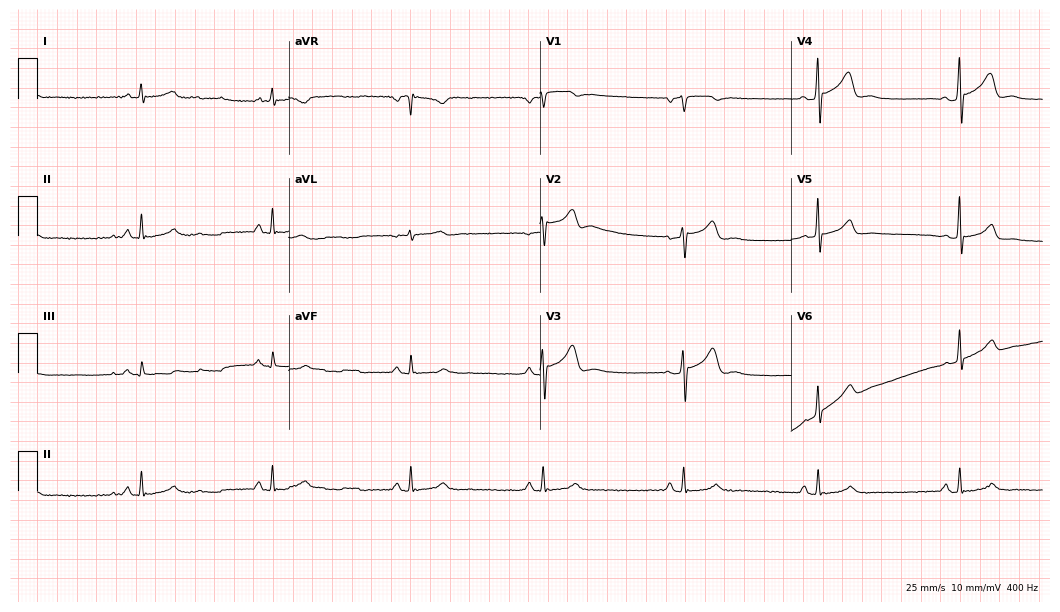
Resting 12-lead electrocardiogram. Patient: a male, 57 years old. None of these six findings is recorded: first-degree AV block, right bundle branch block, left bundle branch block, sinus bradycardia, atrial fibrillation, sinus tachycardia.